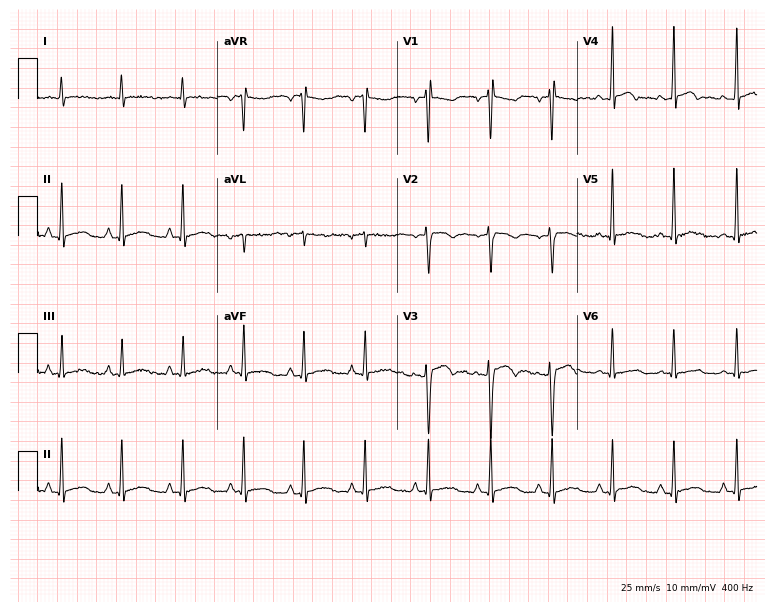
ECG (7.3-second recording at 400 Hz) — a 30-year-old female. Screened for six findings — first-degree AV block, right bundle branch block, left bundle branch block, sinus bradycardia, atrial fibrillation, sinus tachycardia — none is recorded.